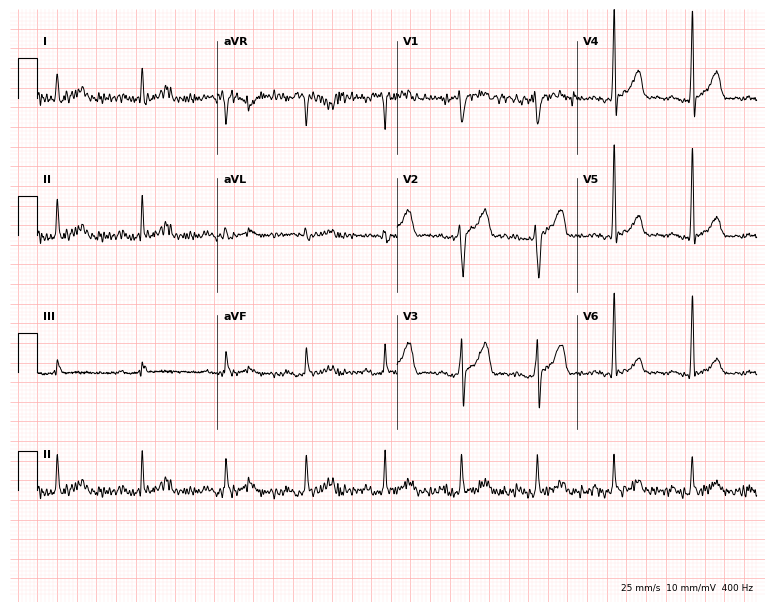
Resting 12-lead electrocardiogram (7.3-second recording at 400 Hz). Patient: a 37-year-old male. Read as a normal ECG.